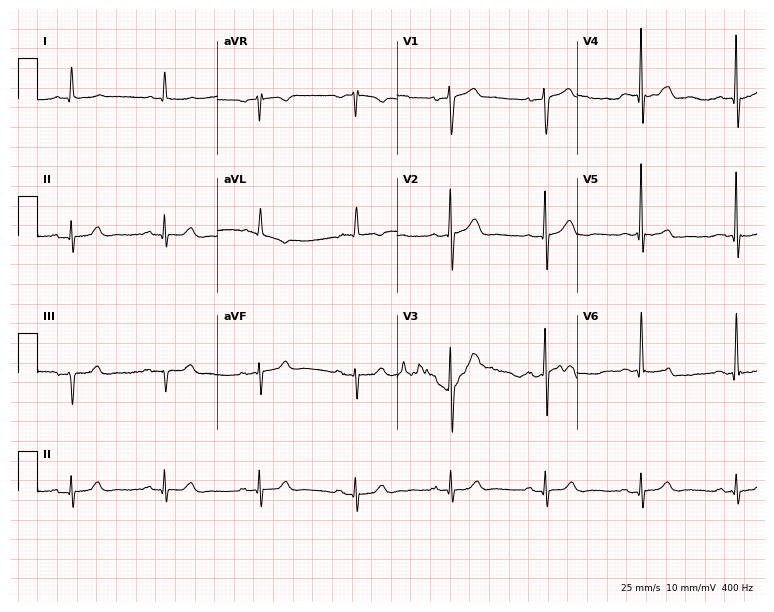
Resting 12-lead electrocardiogram (7.3-second recording at 400 Hz). Patient: an 83-year-old man. None of these six findings is recorded: first-degree AV block, right bundle branch block, left bundle branch block, sinus bradycardia, atrial fibrillation, sinus tachycardia.